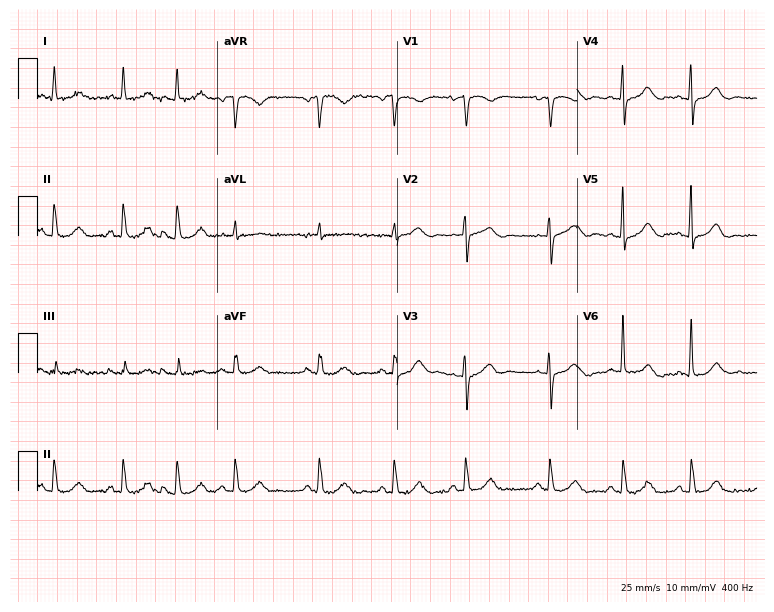
Standard 12-lead ECG recorded from a female patient, 75 years old (7.3-second recording at 400 Hz). None of these six findings is recorded: first-degree AV block, right bundle branch block, left bundle branch block, sinus bradycardia, atrial fibrillation, sinus tachycardia. Findings outside these six are not listed.